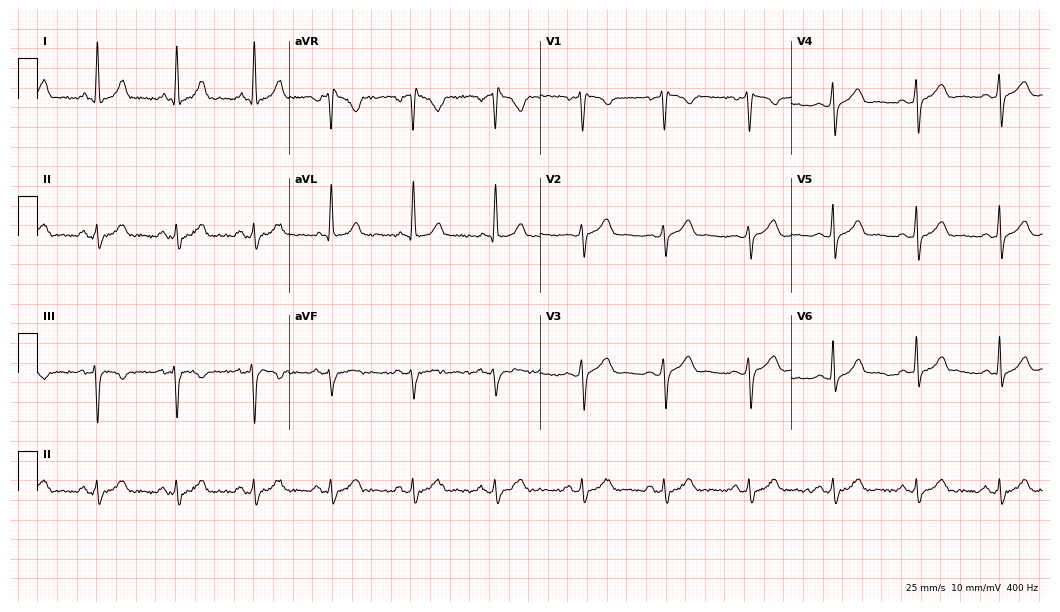
12-lead ECG from a 30-year-old male patient (10.2-second recording at 400 Hz). Recorded interpretation: within normal limits.